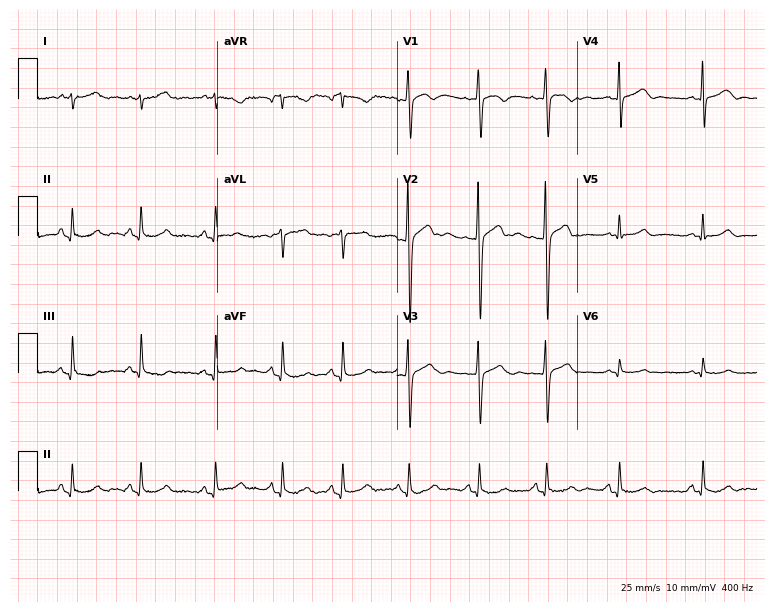
Standard 12-lead ECG recorded from a male patient, 19 years old (7.3-second recording at 400 Hz). Read as a normal ECG.